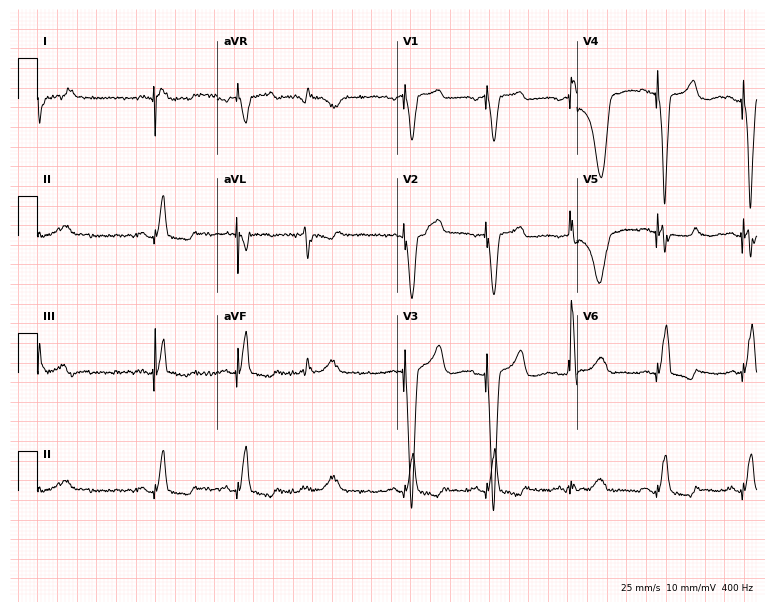
12-lead ECG from an 83-year-old woman. Screened for six findings — first-degree AV block, right bundle branch block (RBBB), left bundle branch block (LBBB), sinus bradycardia, atrial fibrillation (AF), sinus tachycardia — none is recorded.